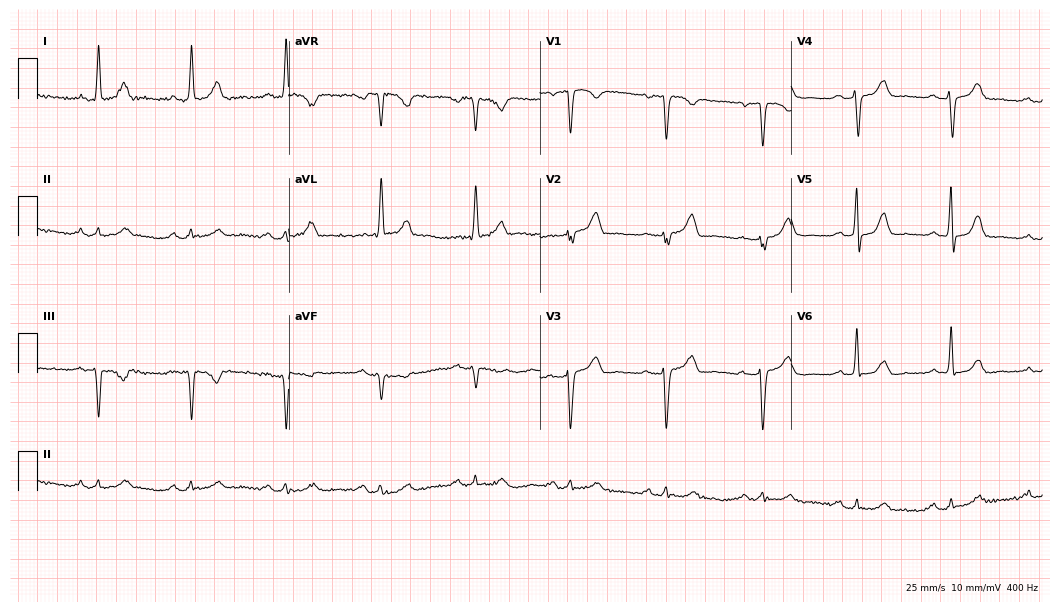
Resting 12-lead electrocardiogram. Patient: a 78-year-old female. Read as a normal ECG.